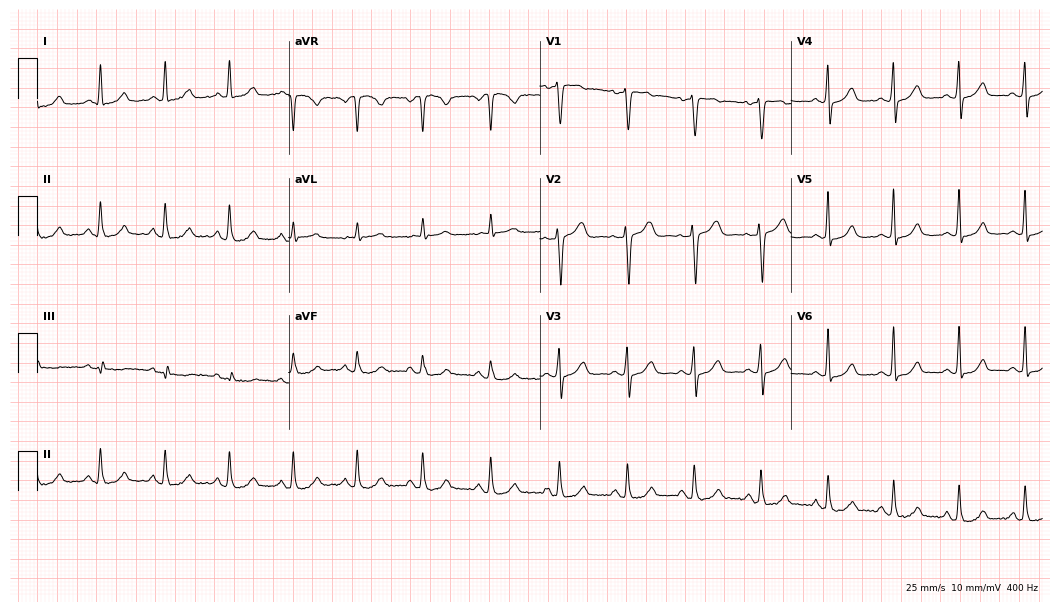
Electrocardiogram, a 57-year-old female patient. Overall reading on record: normal ECG.